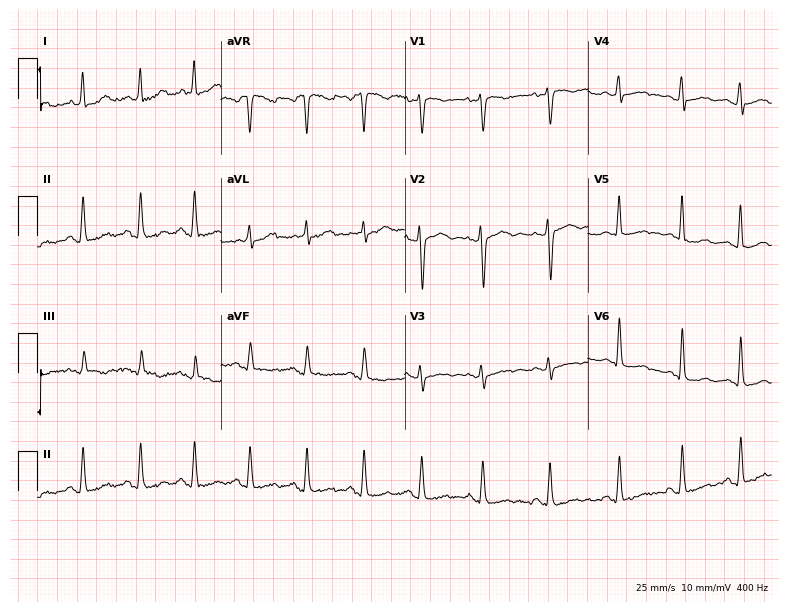
12-lead ECG from a 43-year-old female. Screened for six findings — first-degree AV block, right bundle branch block (RBBB), left bundle branch block (LBBB), sinus bradycardia, atrial fibrillation (AF), sinus tachycardia — none is recorded. Findings outside these six are not listed.